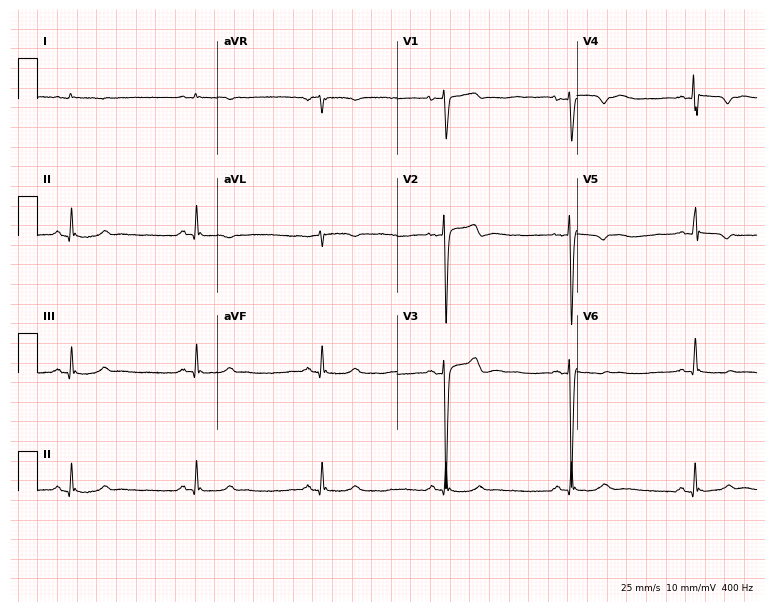
12-lead ECG from a 35-year-old male (7.3-second recording at 400 Hz). No first-degree AV block, right bundle branch block, left bundle branch block, sinus bradycardia, atrial fibrillation or sinus tachycardia recorded for this tracing.